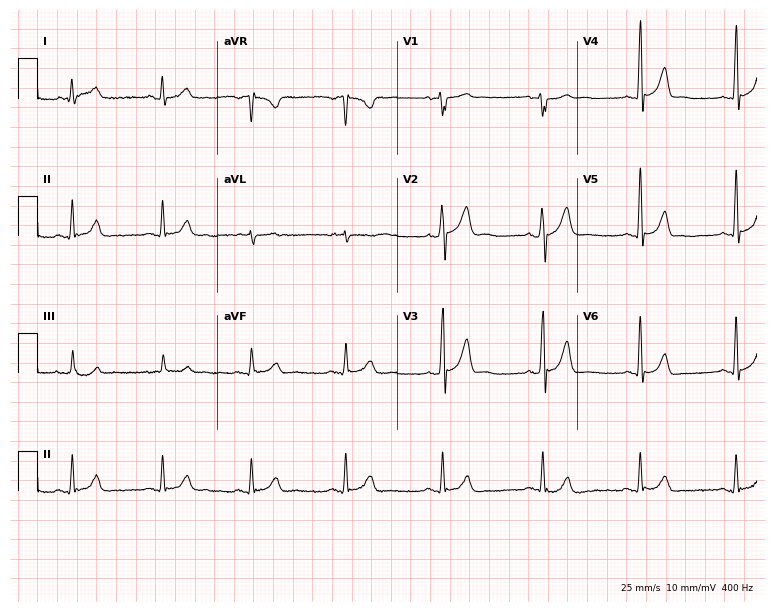
Standard 12-lead ECG recorded from a male patient, 53 years old (7.3-second recording at 400 Hz). Read as a normal ECG.